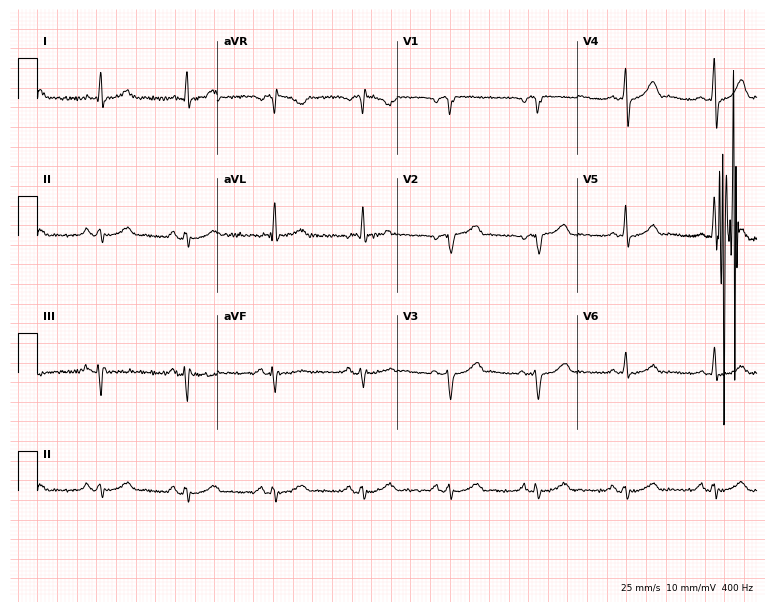
12-lead ECG from a 68-year-old male (7.3-second recording at 400 Hz). Shows first-degree AV block.